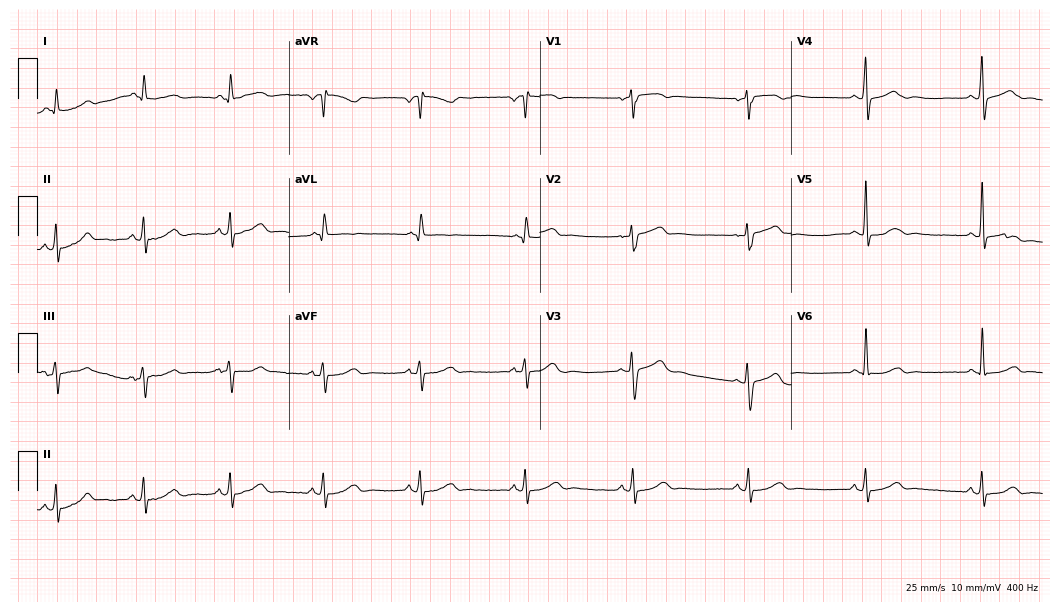
ECG — a 55-year-old female. Screened for six findings — first-degree AV block, right bundle branch block, left bundle branch block, sinus bradycardia, atrial fibrillation, sinus tachycardia — none is recorded. Findings outside these six are not listed.